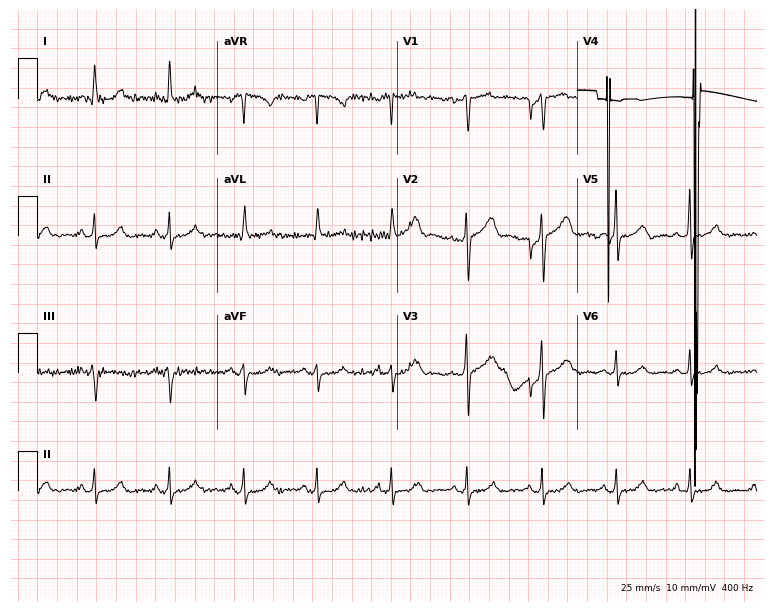
Electrocardiogram, a 41-year-old female. Of the six screened findings (first-degree AV block, right bundle branch block (RBBB), left bundle branch block (LBBB), sinus bradycardia, atrial fibrillation (AF), sinus tachycardia), none is recorded. Other findings, if any, are not listed.